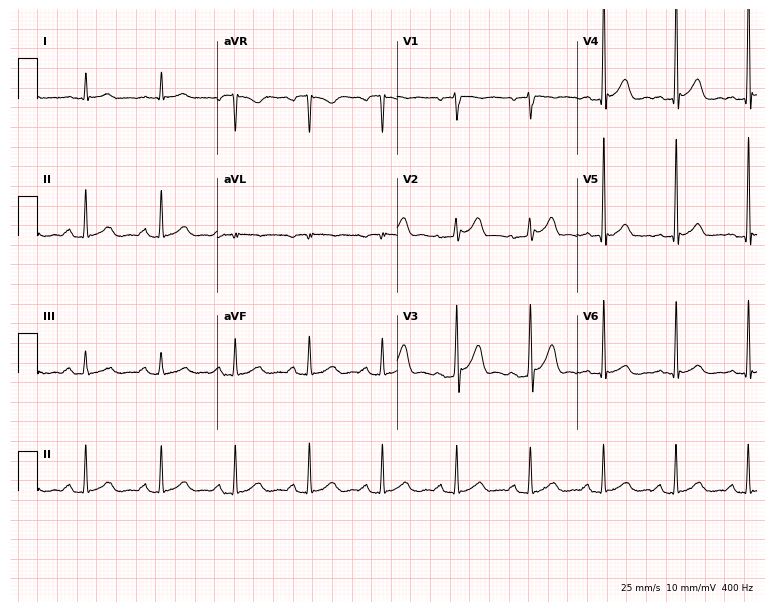
12-lead ECG from a 76-year-old male. Labelled as a normal ECG.